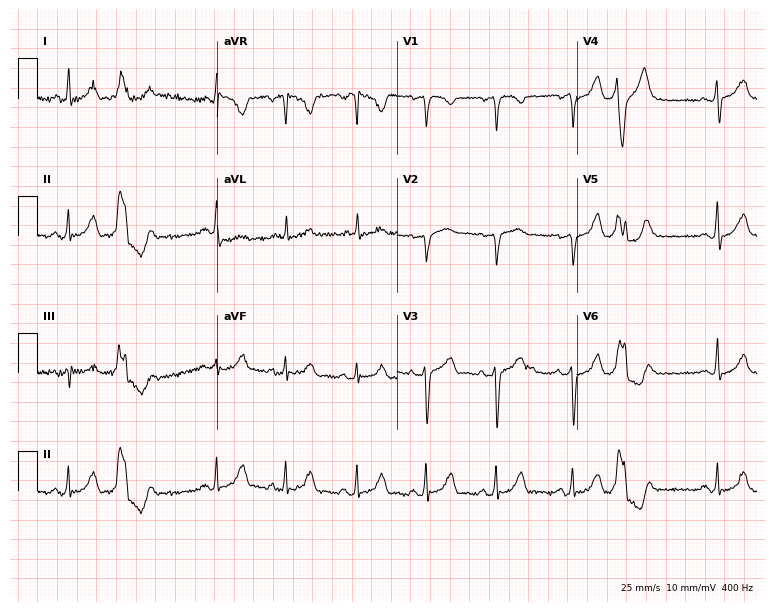
Standard 12-lead ECG recorded from a 42-year-old woman (7.3-second recording at 400 Hz). None of these six findings is recorded: first-degree AV block, right bundle branch block (RBBB), left bundle branch block (LBBB), sinus bradycardia, atrial fibrillation (AF), sinus tachycardia.